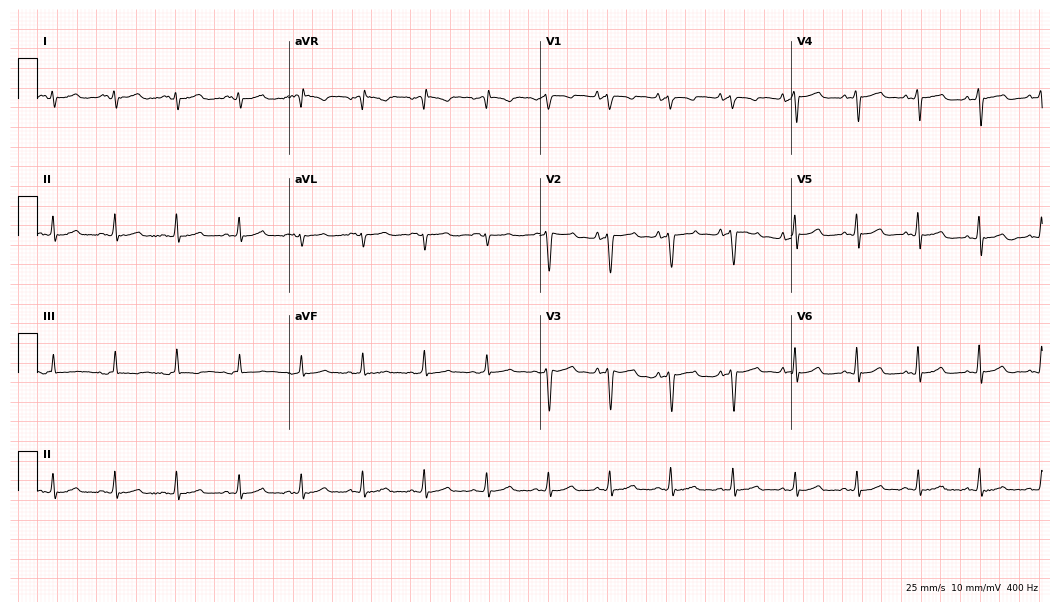
12-lead ECG from a 60-year-old female patient (10.2-second recording at 400 Hz). No first-degree AV block, right bundle branch block, left bundle branch block, sinus bradycardia, atrial fibrillation or sinus tachycardia recorded for this tracing.